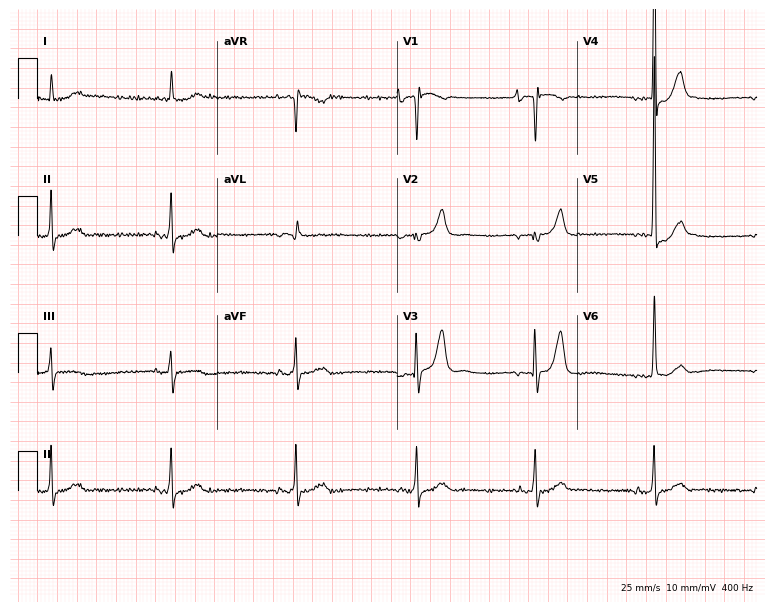
12-lead ECG (7.3-second recording at 400 Hz) from a woman, 80 years old. Screened for six findings — first-degree AV block, right bundle branch block, left bundle branch block, sinus bradycardia, atrial fibrillation, sinus tachycardia — none is recorded. Only these six findings were labelled.